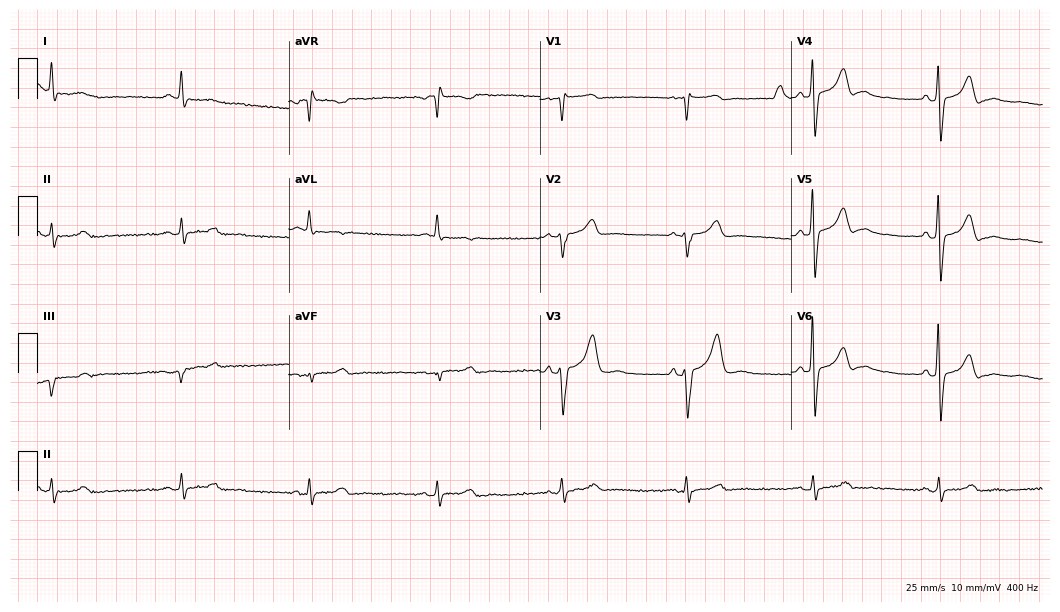
12-lead ECG from a man, 80 years old. Findings include sinus bradycardia (a sinus rate of 50 beats per minute or less).